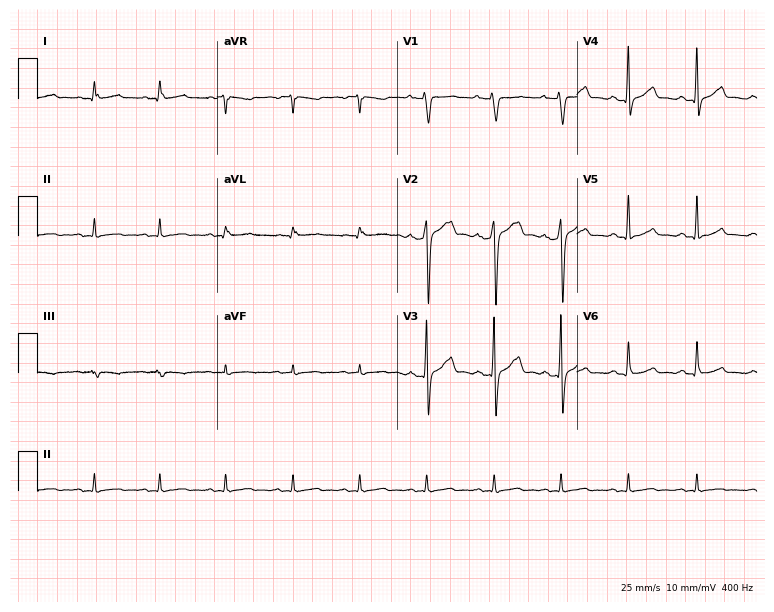
12-lead ECG (7.3-second recording at 400 Hz) from a man, 52 years old. Screened for six findings — first-degree AV block, right bundle branch block, left bundle branch block, sinus bradycardia, atrial fibrillation, sinus tachycardia — none is recorded. Other findings, if any, are not listed.